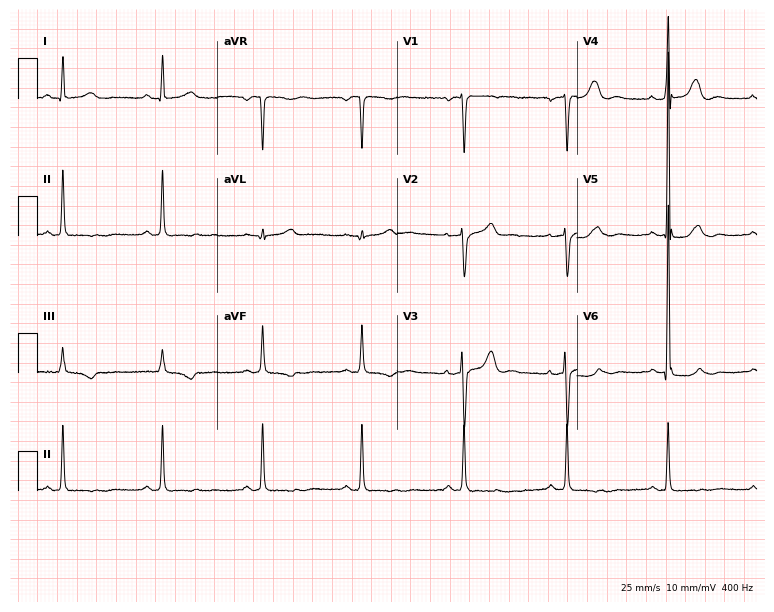
12-lead ECG from a 47-year-old male patient. Screened for six findings — first-degree AV block, right bundle branch block, left bundle branch block, sinus bradycardia, atrial fibrillation, sinus tachycardia — none is recorded. Only these six findings were labelled.